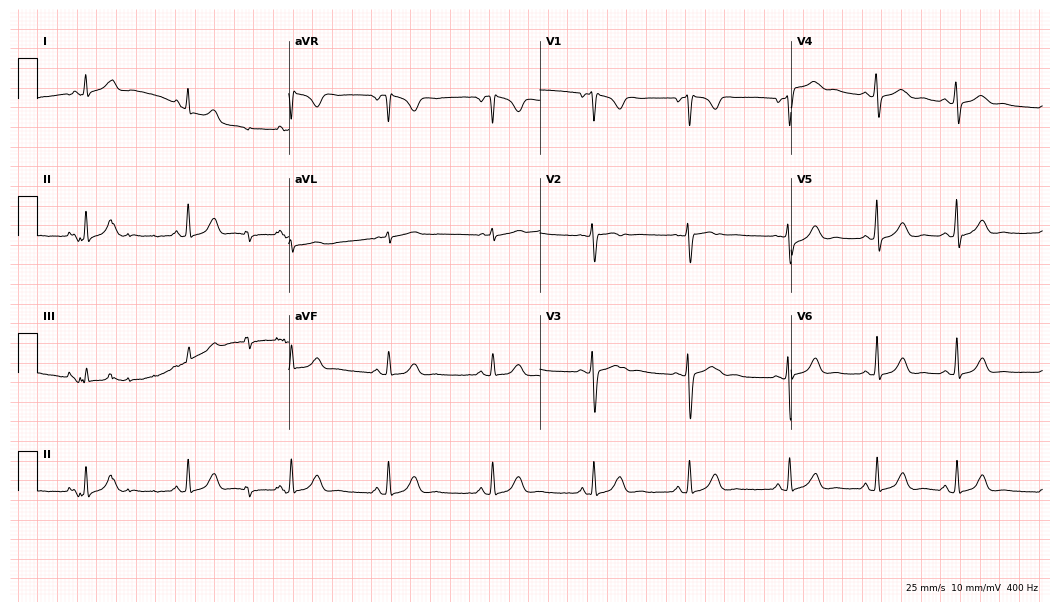
Resting 12-lead electrocardiogram (10.2-second recording at 400 Hz). Patient: a 34-year-old woman. None of these six findings is recorded: first-degree AV block, right bundle branch block, left bundle branch block, sinus bradycardia, atrial fibrillation, sinus tachycardia.